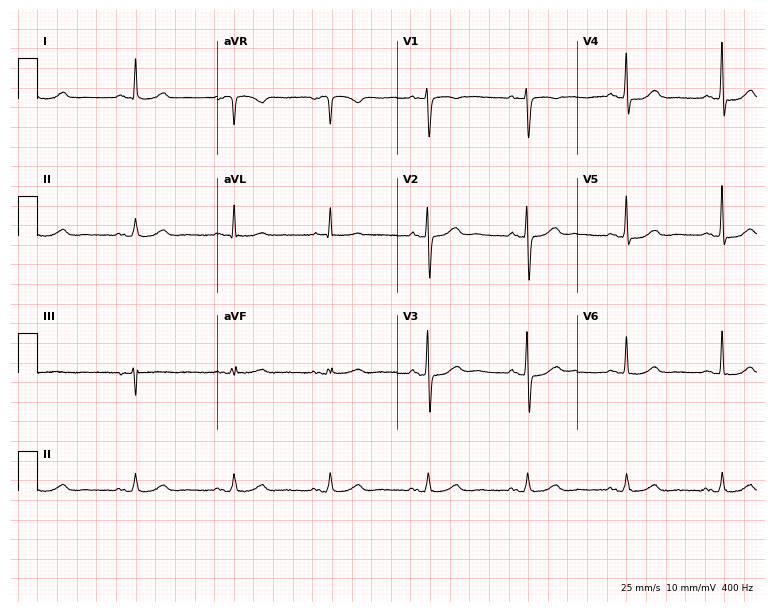
12-lead ECG from a female patient, 74 years old (7.3-second recording at 400 Hz). Recorded interpretation: within normal limits.